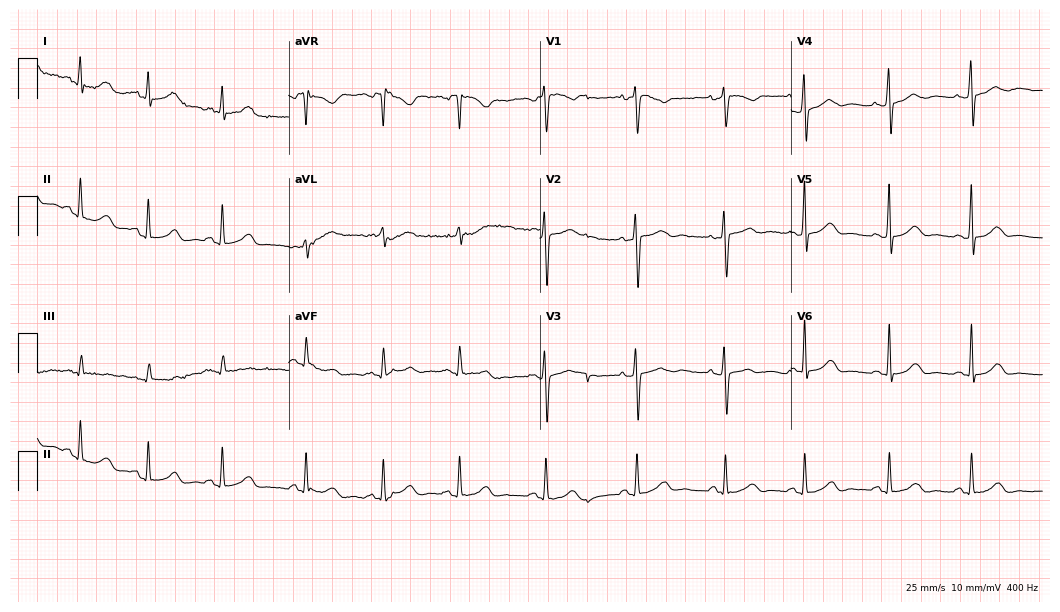
Standard 12-lead ECG recorded from a woman, 30 years old. None of these six findings is recorded: first-degree AV block, right bundle branch block (RBBB), left bundle branch block (LBBB), sinus bradycardia, atrial fibrillation (AF), sinus tachycardia. Findings outside these six are not listed.